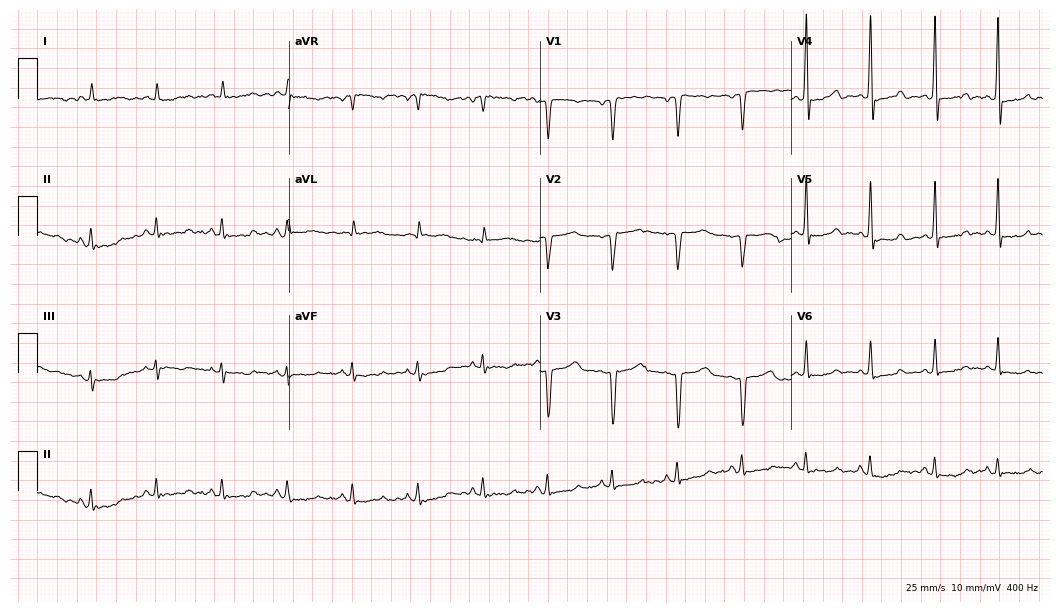
12-lead ECG from a 63-year-old man (10.2-second recording at 400 Hz). No first-degree AV block, right bundle branch block, left bundle branch block, sinus bradycardia, atrial fibrillation or sinus tachycardia recorded for this tracing. Other findings, if any, are not listed.